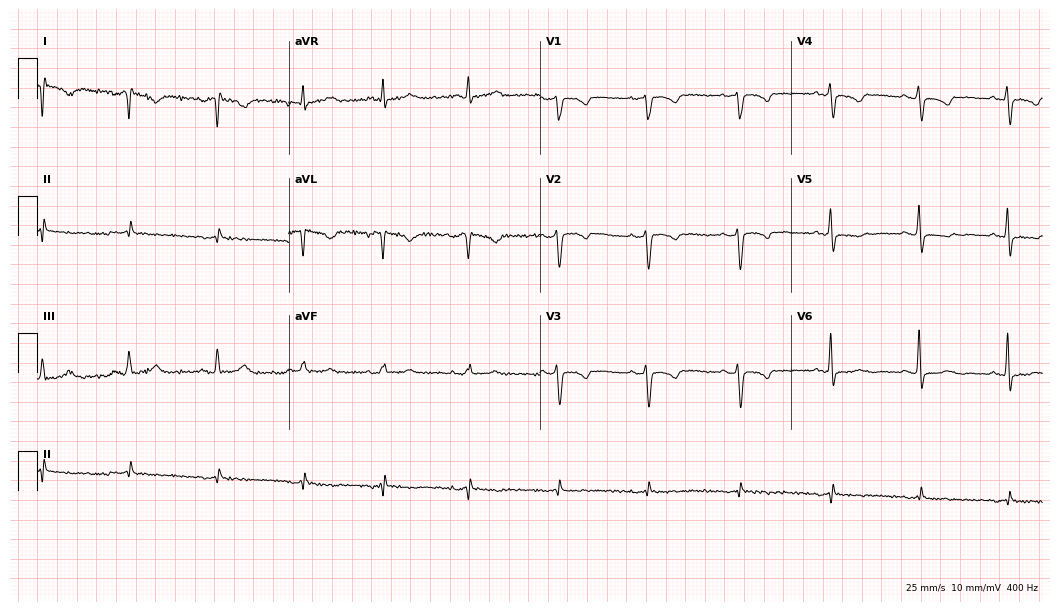
Standard 12-lead ECG recorded from a female, 46 years old. None of these six findings is recorded: first-degree AV block, right bundle branch block, left bundle branch block, sinus bradycardia, atrial fibrillation, sinus tachycardia. Findings outside these six are not listed.